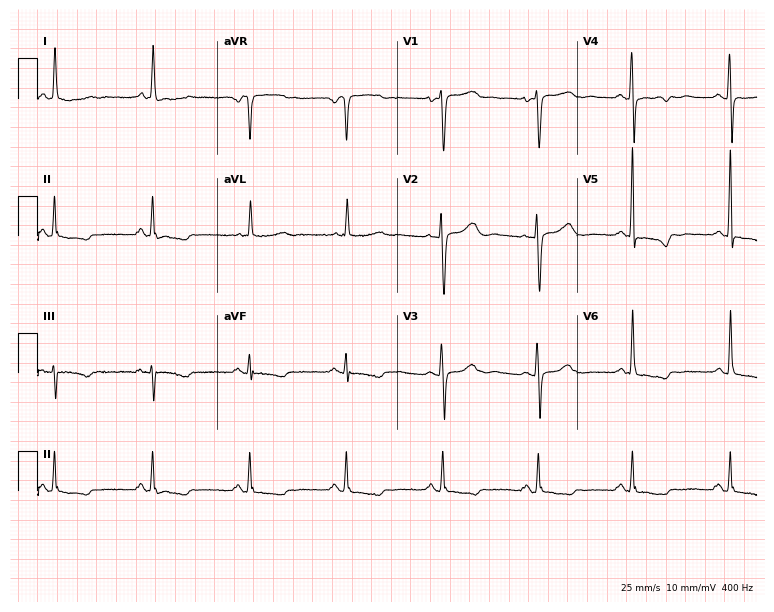
12-lead ECG from a woman, 46 years old. Screened for six findings — first-degree AV block, right bundle branch block (RBBB), left bundle branch block (LBBB), sinus bradycardia, atrial fibrillation (AF), sinus tachycardia — none is recorded.